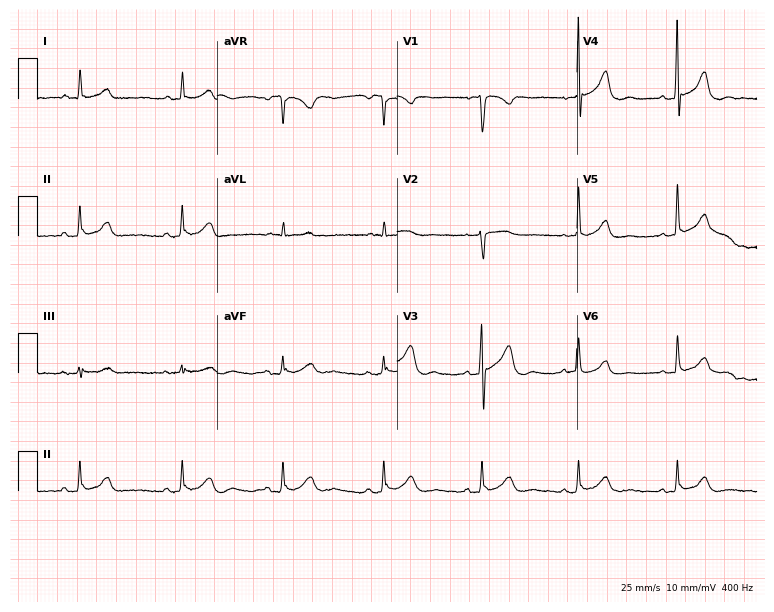
ECG (7.3-second recording at 400 Hz) — a man, 71 years old. Labelled as a normal ECG.